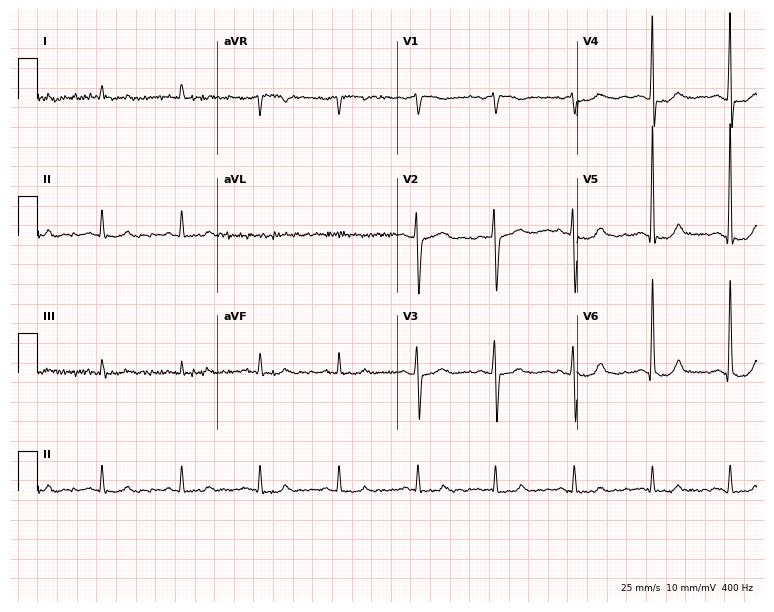
12-lead ECG from a male patient, 55 years old. Screened for six findings — first-degree AV block, right bundle branch block, left bundle branch block, sinus bradycardia, atrial fibrillation, sinus tachycardia — none is recorded. Other findings, if any, are not listed.